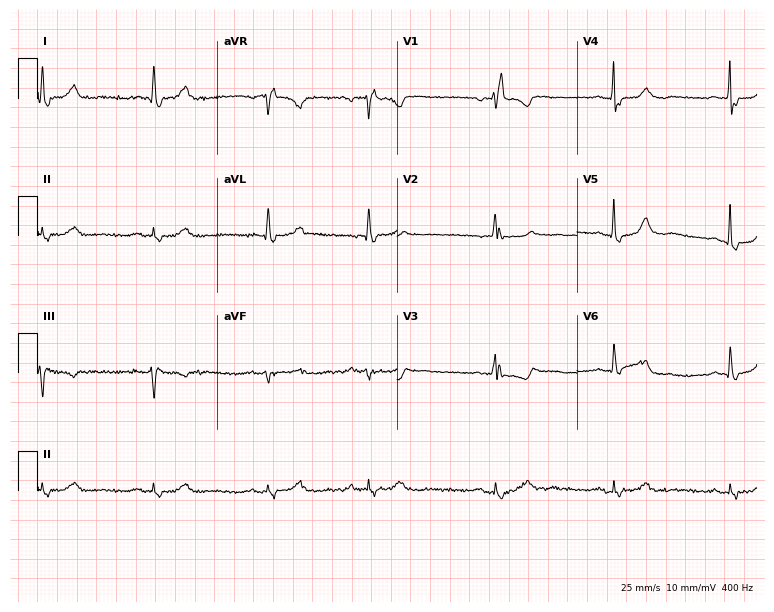
ECG (7.3-second recording at 400 Hz) — an 81-year-old female patient. Findings include right bundle branch block.